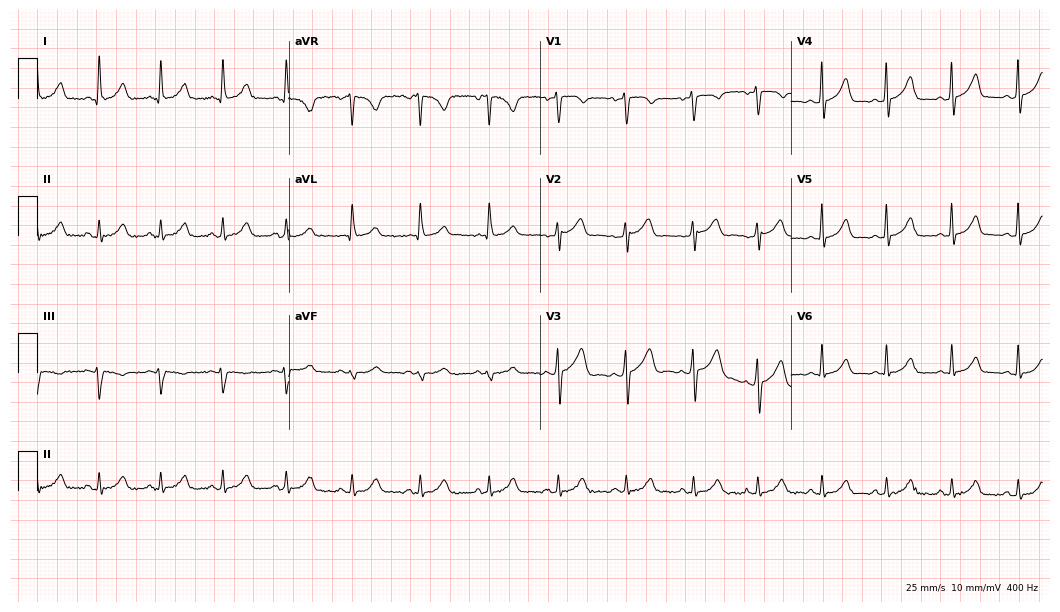
Electrocardiogram (10.2-second recording at 400 Hz), a female patient, 34 years old. Overall reading on record: normal ECG.